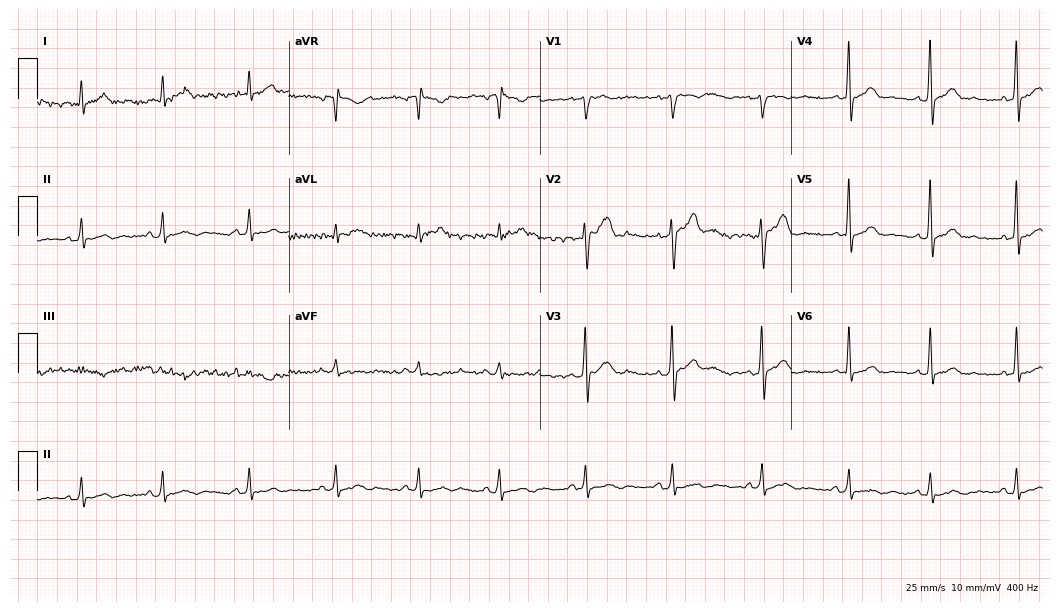
ECG — a man, 22 years old. Labelled as a normal ECG.